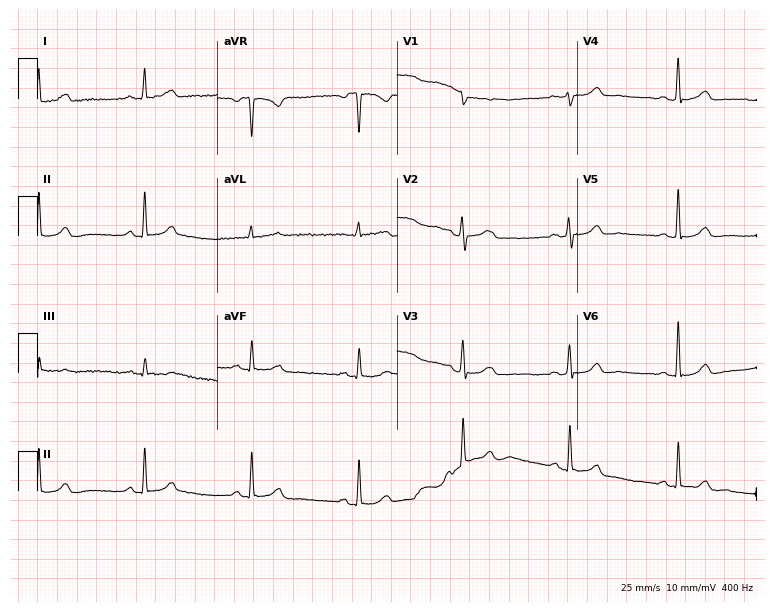
12-lead ECG from a 39-year-old female patient. Screened for six findings — first-degree AV block, right bundle branch block, left bundle branch block, sinus bradycardia, atrial fibrillation, sinus tachycardia — none is recorded.